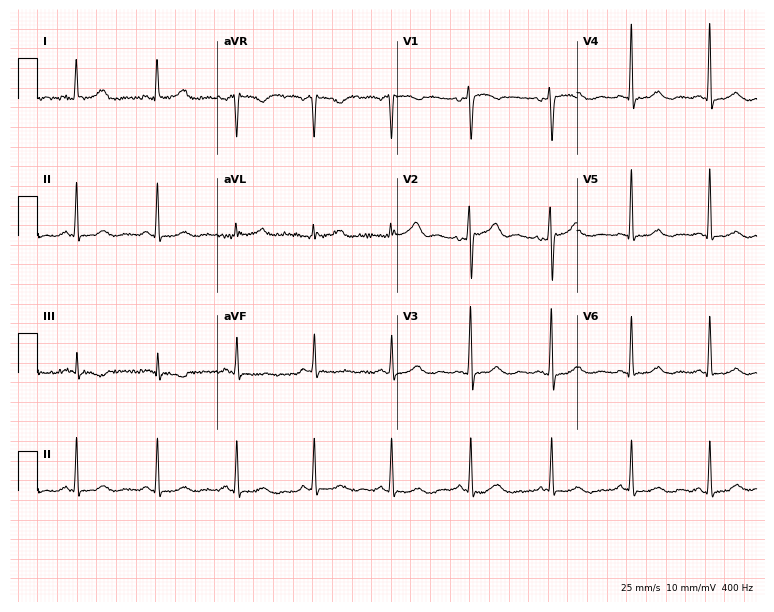
Standard 12-lead ECG recorded from a female, 46 years old (7.3-second recording at 400 Hz). None of these six findings is recorded: first-degree AV block, right bundle branch block (RBBB), left bundle branch block (LBBB), sinus bradycardia, atrial fibrillation (AF), sinus tachycardia.